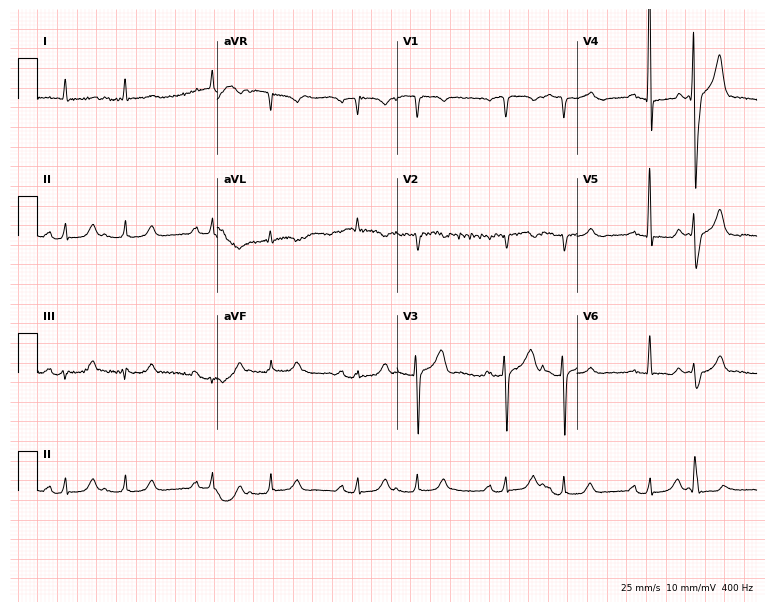
ECG — a 76-year-old male patient. Screened for six findings — first-degree AV block, right bundle branch block, left bundle branch block, sinus bradycardia, atrial fibrillation, sinus tachycardia — none is recorded.